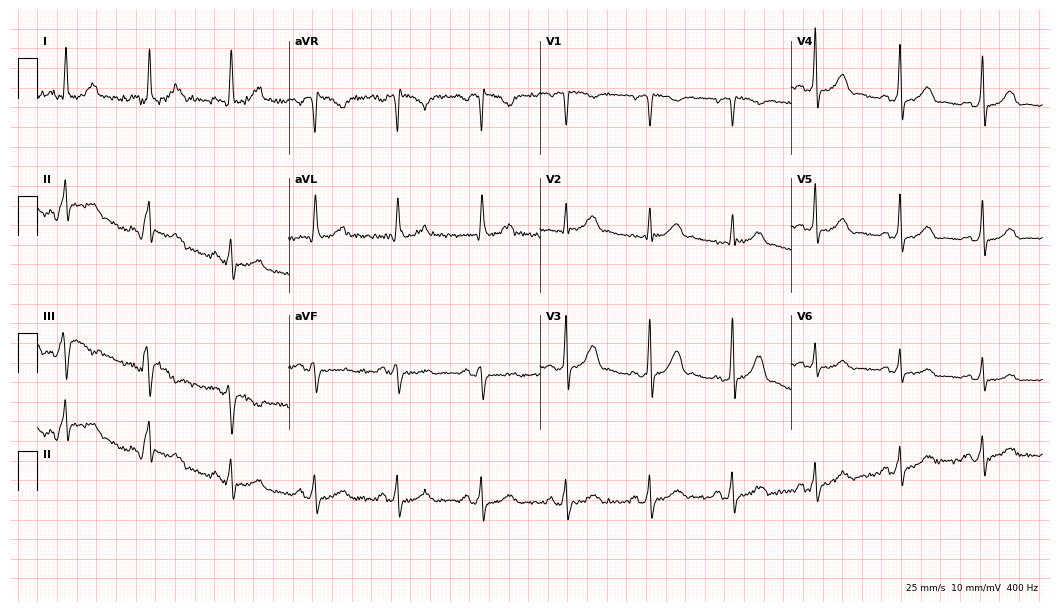
12-lead ECG from a female patient, 60 years old (10.2-second recording at 400 Hz). No first-degree AV block, right bundle branch block (RBBB), left bundle branch block (LBBB), sinus bradycardia, atrial fibrillation (AF) or sinus tachycardia recorded for this tracing.